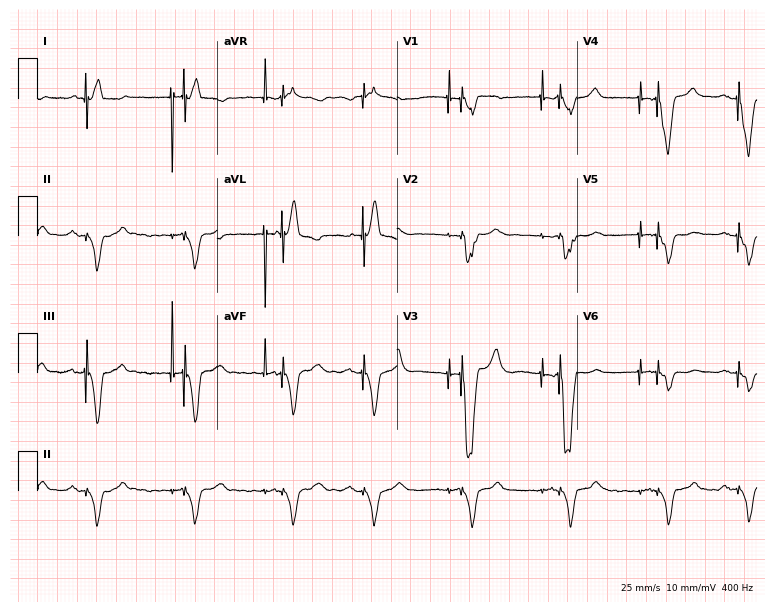
ECG — an 84-year-old female patient. Screened for six findings — first-degree AV block, right bundle branch block (RBBB), left bundle branch block (LBBB), sinus bradycardia, atrial fibrillation (AF), sinus tachycardia — none is recorded.